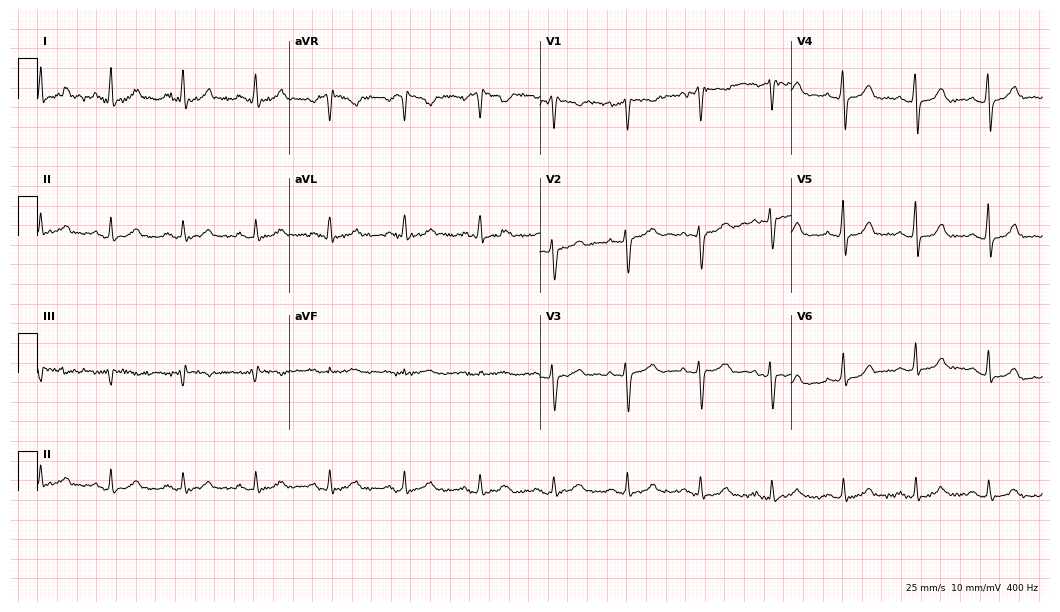
ECG — a 44-year-old woman. Labelled as a normal ECG.